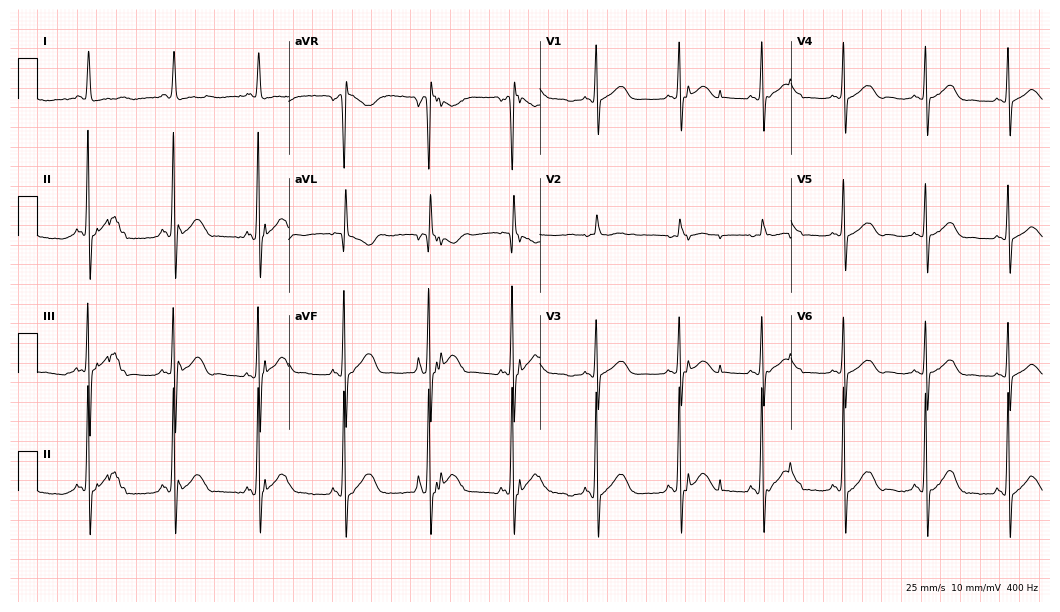
Standard 12-lead ECG recorded from a female patient, 84 years old. None of these six findings is recorded: first-degree AV block, right bundle branch block, left bundle branch block, sinus bradycardia, atrial fibrillation, sinus tachycardia.